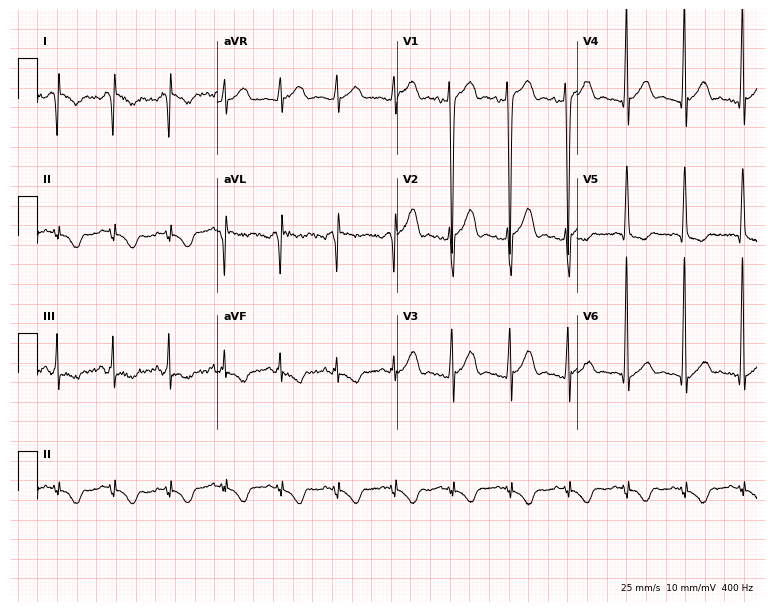
12-lead ECG from a female, 62 years old (7.3-second recording at 400 Hz). No first-degree AV block, right bundle branch block, left bundle branch block, sinus bradycardia, atrial fibrillation or sinus tachycardia recorded for this tracing. Other findings, if any, are not listed.